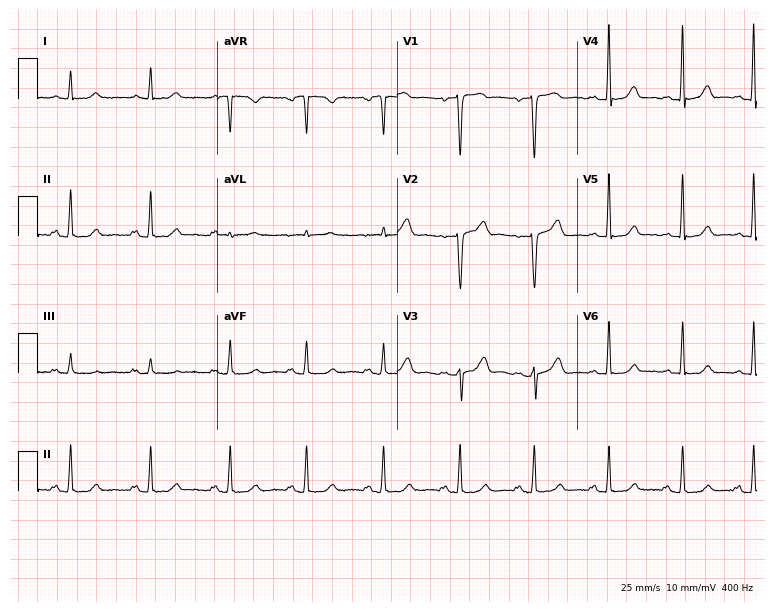
12-lead ECG from a 51-year-old female patient. Recorded interpretation: within normal limits.